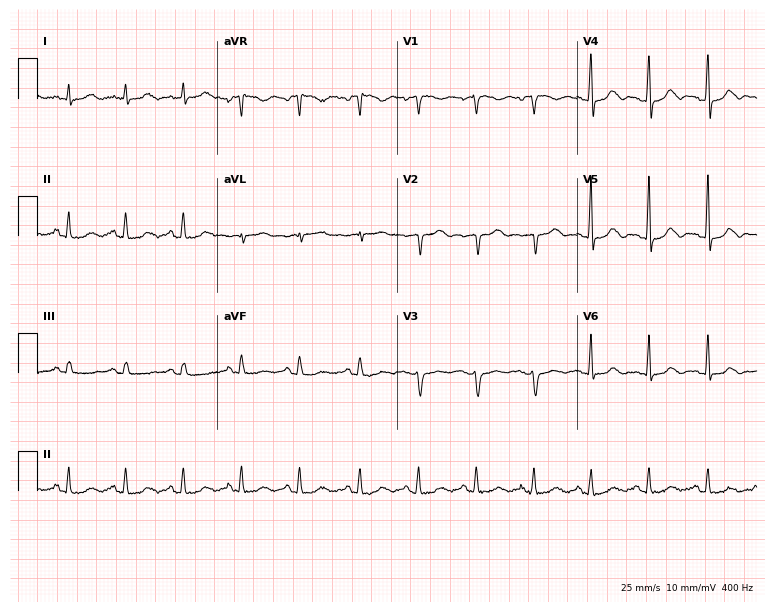
Electrocardiogram (7.3-second recording at 400 Hz), a 44-year-old woman. Of the six screened findings (first-degree AV block, right bundle branch block (RBBB), left bundle branch block (LBBB), sinus bradycardia, atrial fibrillation (AF), sinus tachycardia), none is recorded.